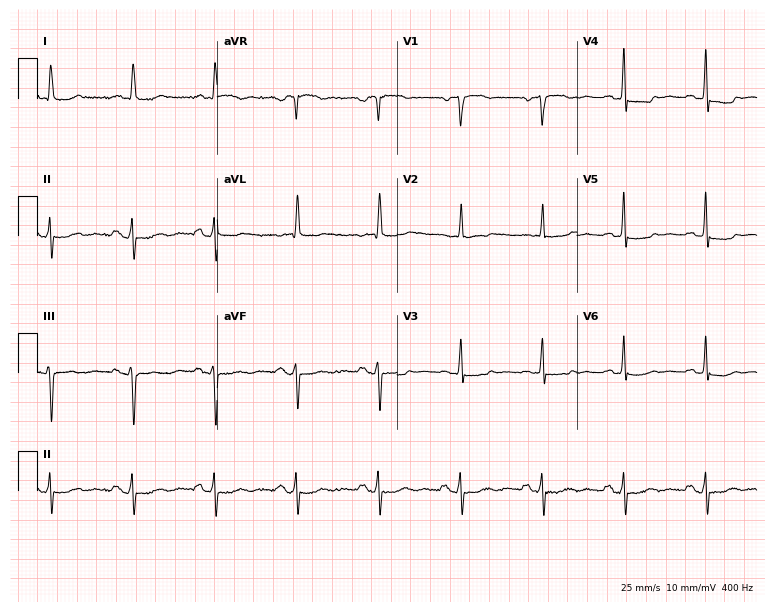
12-lead ECG (7.3-second recording at 400 Hz) from a 76-year-old female. Screened for six findings — first-degree AV block, right bundle branch block, left bundle branch block, sinus bradycardia, atrial fibrillation, sinus tachycardia — none is recorded. Only these six findings were labelled.